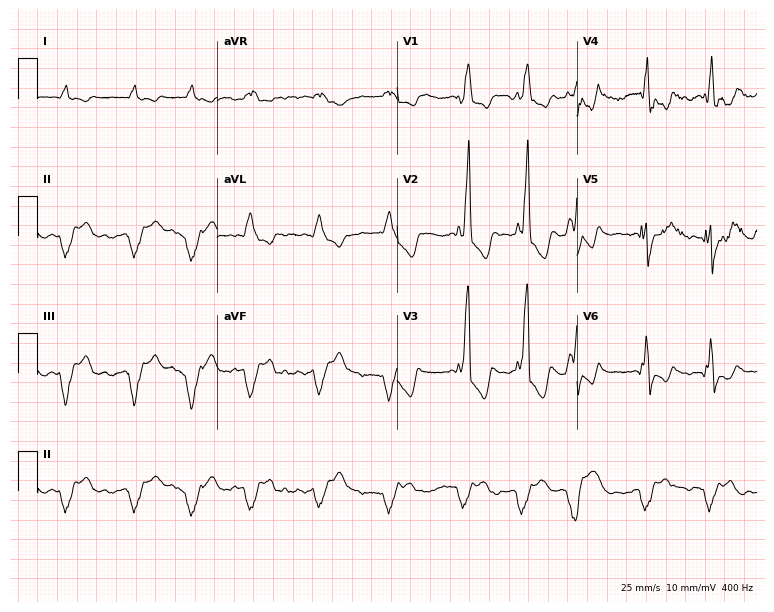
Resting 12-lead electrocardiogram. Patient: a man, 64 years old. The tracing shows right bundle branch block, atrial fibrillation.